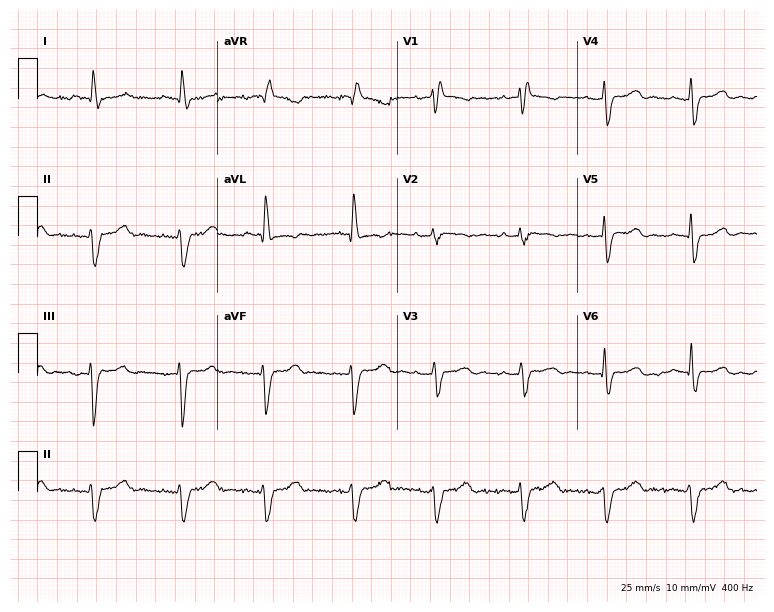
Standard 12-lead ECG recorded from a woman, 70 years old. The tracing shows right bundle branch block.